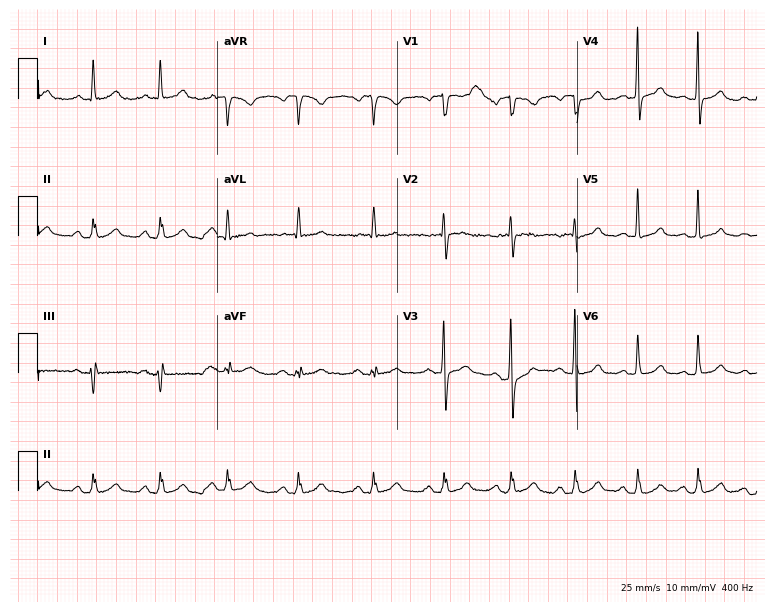
ECG — a 65-year-old female patient. Labelled as a normal ECG.